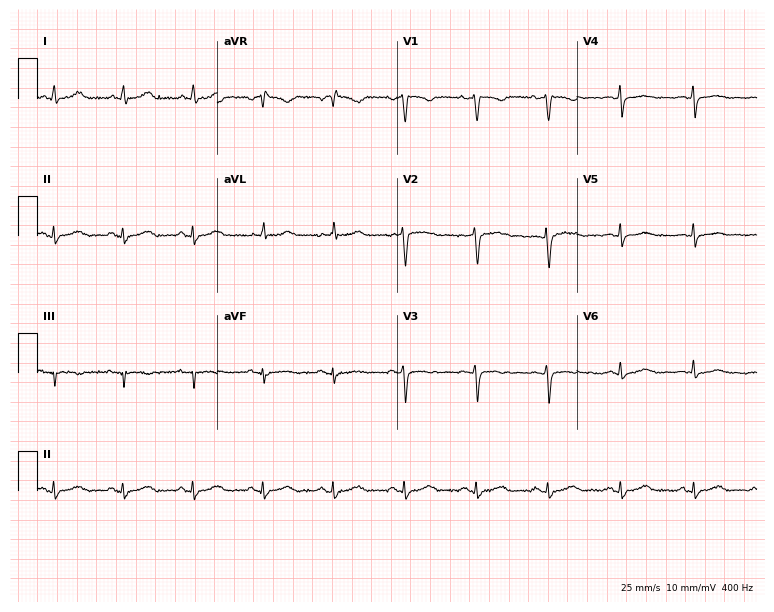
Electrocardiogram (7.3-second recording at 400 Hz), a woman, 38 years old. Overall reading on record: normal ECG.